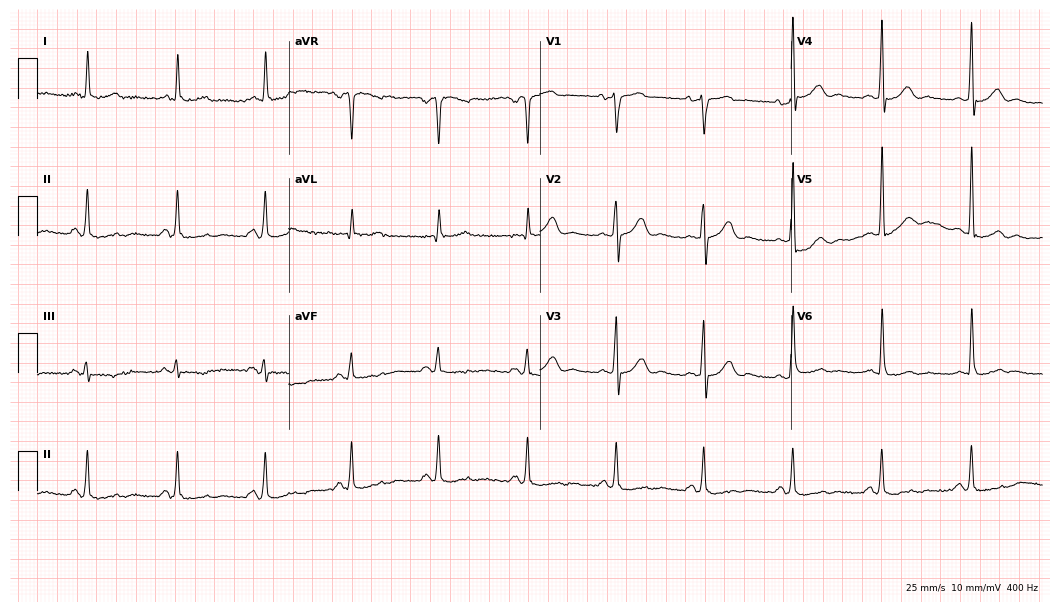
ECG — a male, 67 years old. Screened for six findings — first-degree AV block, right bundle branch block (RBBB), left bundle branch block (LBBB), sinus bradycardia, atrial fibrillation (AF), sinus tachycardia — none is recorded. Other findings, if any, are not listed.